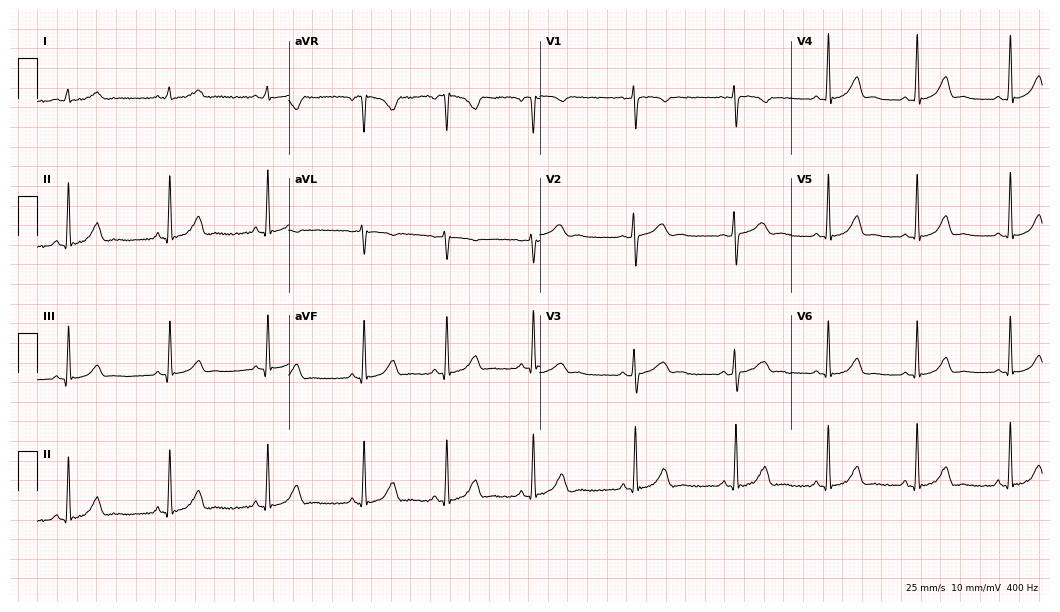
12-lead ECG from a woman, 26 years old. Labelled as a normal ECG.